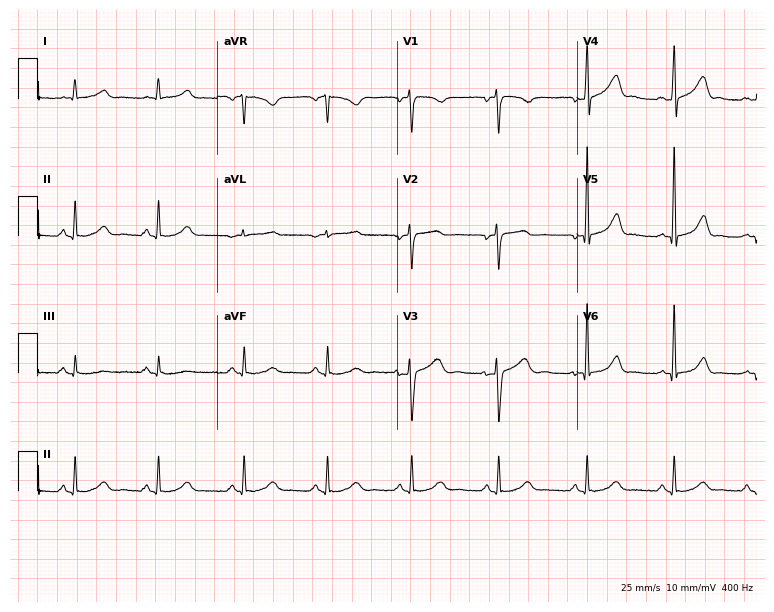
ECG (7.3-second recording at 400 Hz) — a female patient, 44 years old. Labelled as a normal ECG.